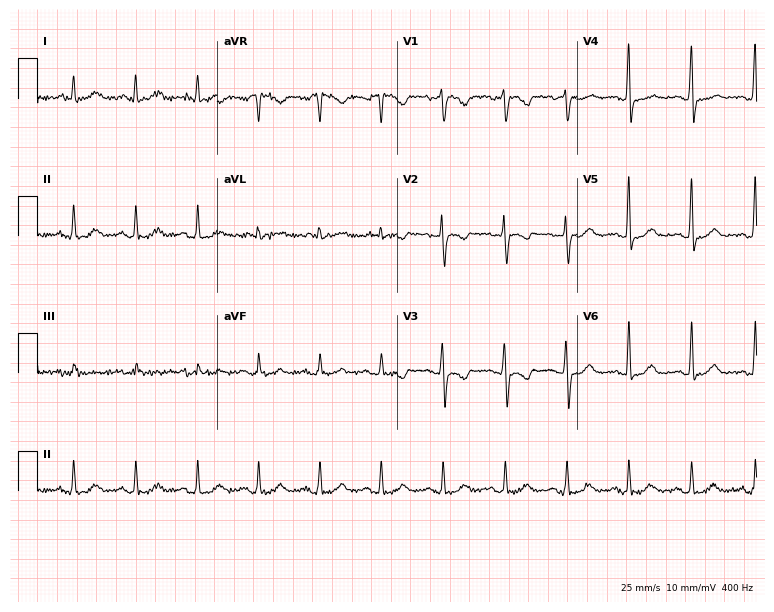
Standard 12-lead ECG recorded from a female, 43 years old (7.3-second recording at 400 Hz). None of these six findings is recorded: first-degree AV block, right bundle branch block (RBBB), left bundle branch block (LBBB), sinus bradycardia, atrial fibrillation (AF), sinus tachycardia.